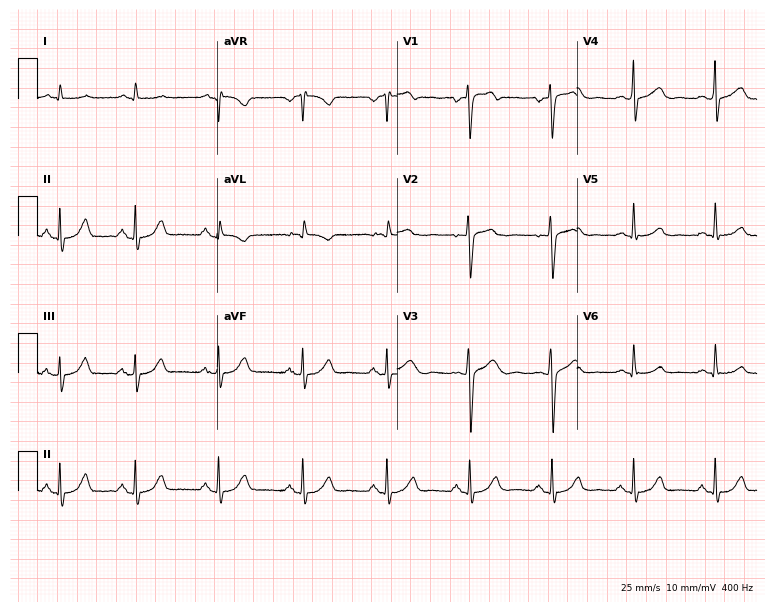
Electrocardiogram, a male patient, 71 years old. Of the six screened findings (first-degree AV block, right bundle branch block (RBBB), left bundle branch block (LBBB), sinus bradycardia, atrial fibrillation (AF), sinus tachycardia), none is recorded.